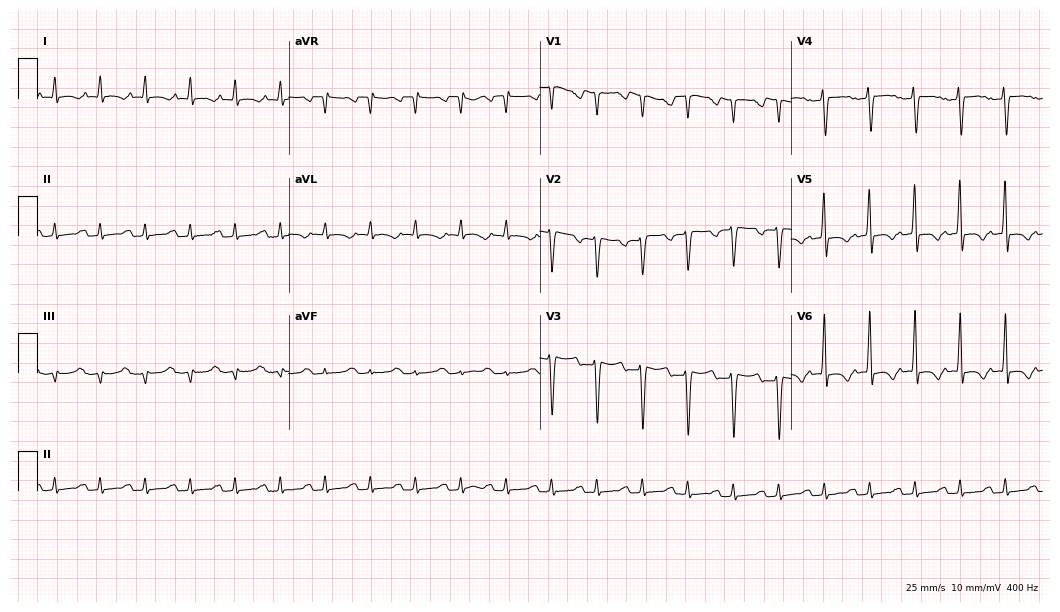
12-lead ECG from a man, 61 years old (10.2-second recording at 400 Hz). No first-degree AV block, right bundle branch block (RBBB), left bundle branch block (LBBB), sinus bradycardia, atrial fibrillation (AF) or sinus tachycardia recorded for this tracing.